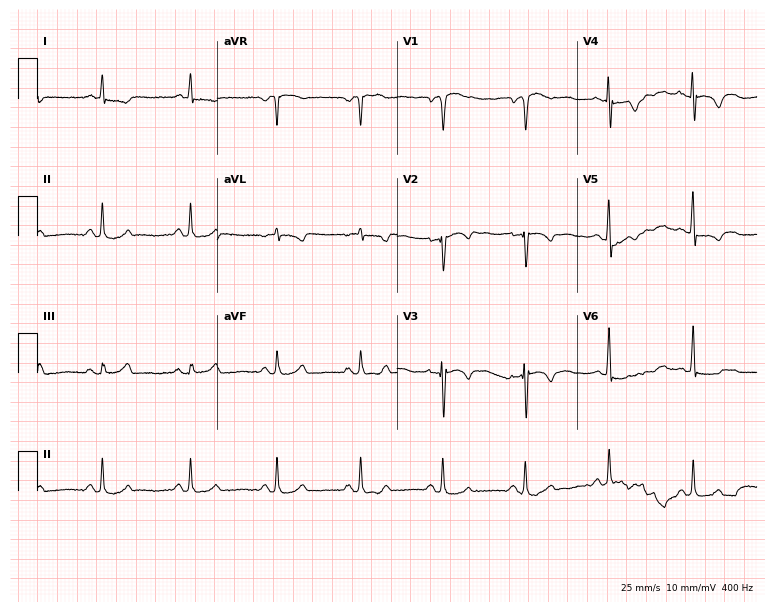
12-lead ECG from a male, 78 years old (7.3-second recording at 400 Hz). No first-degree AV block, right bundle branch block, left bundle branch block, sinus bradycardia, atrial fibrillation or sinus tachycardia recorded for this tracing. Other findings, if any, are not listed.